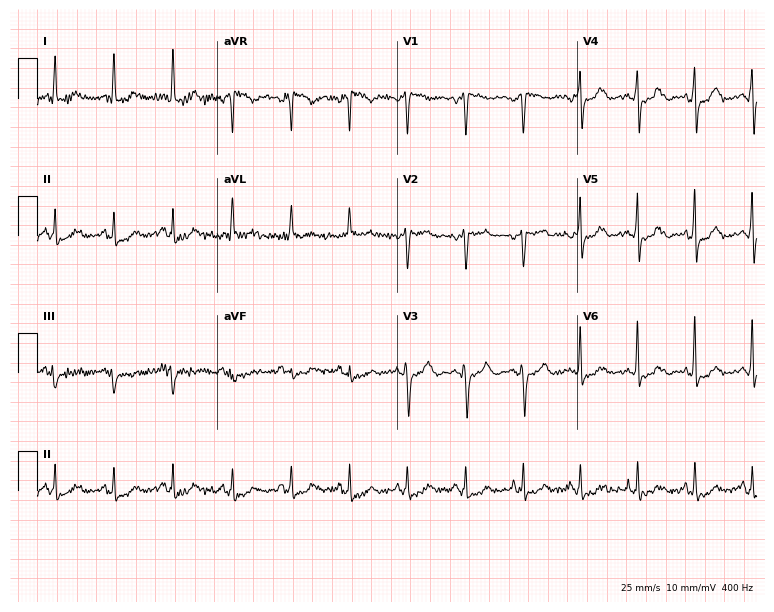
12-lead ECG from a woman, 65 years old. Findings include sinus tachycardia (a sinus rate of 100 beats per minute or more).